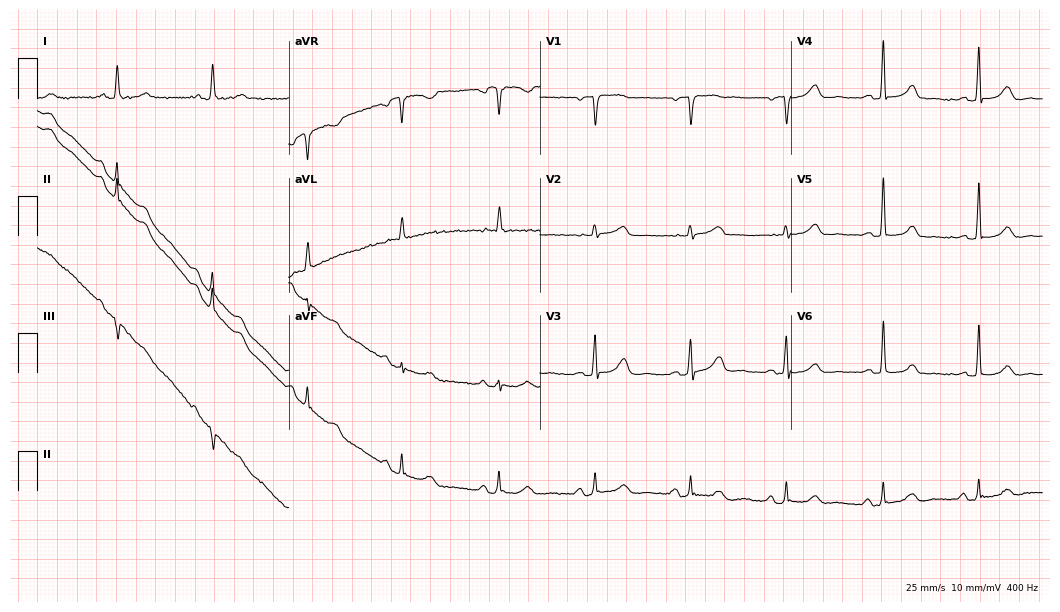
12-lead ECG from a 73-year-old female. Screened for six findings — first-degree AV block, right bundle branch block, left bundle branch block, sinus bradycardia, atrial fibrillation, sinus tachycardia — none is recorded.